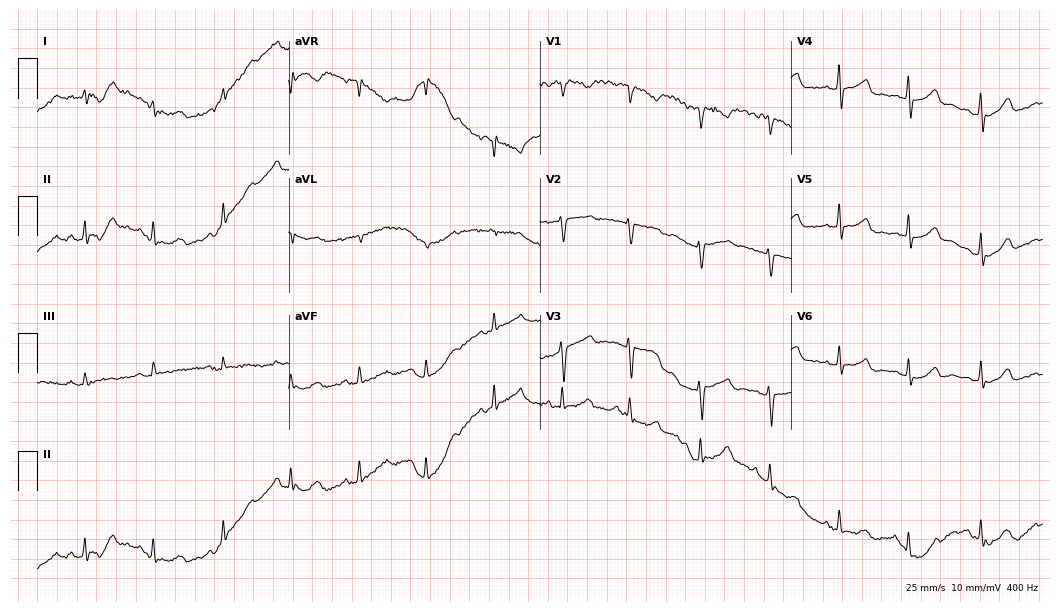
Electrocardiogram, a woman, 34 years old. Overall reading on record: normal ECG.